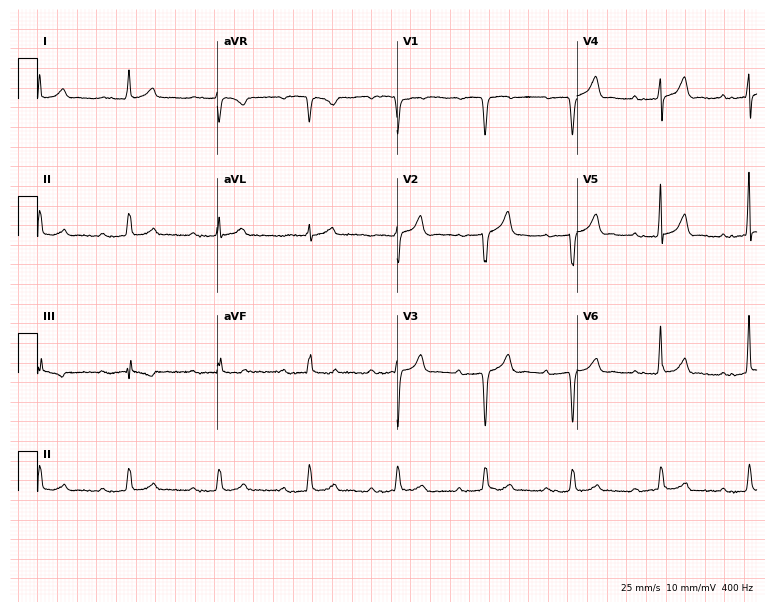
ECG (7.3-second recording at 400 Hz) — a 77-year-old male. Labelled as a normal ECG.